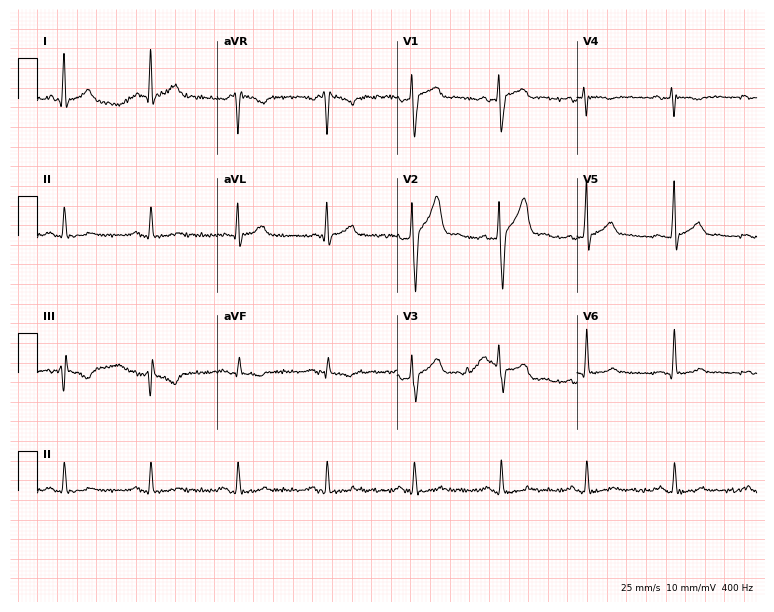
ECG — a 34-year-old male. Screened for six findings — first-degree AV block, right bundle branch block, left bundle branch block, sinus bradycardia, atrial fibrillation, sinus tachycardia — none is recorded.